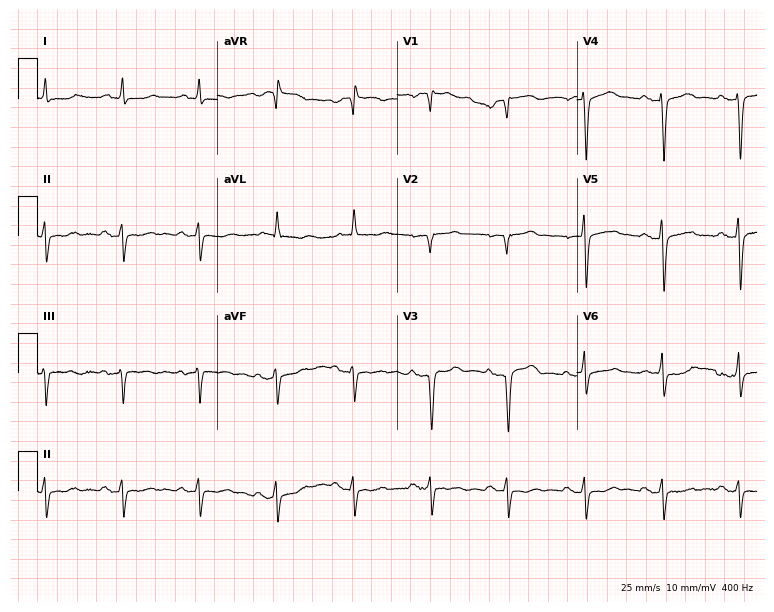
ECG (7.3-second recording at 400 Hz) — a 76-year-old man. Screened for six findings — first-degree AV block, right bundle branch block, left bundle branch block, sinus bradycardia, atrial fibrillation, sinus tachycardia — none is recorded. Only these six findings were labelled.